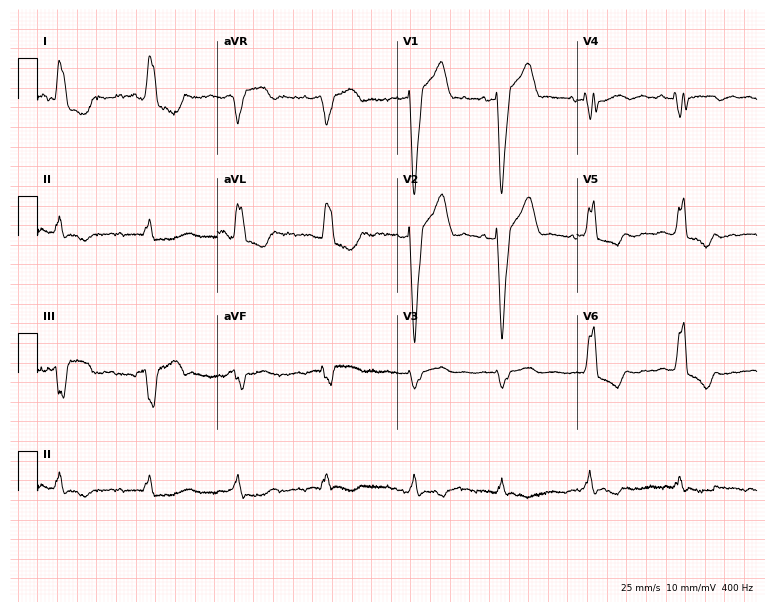
12-lead ECG from a 65-year-old female. Shows left bundle branch block.